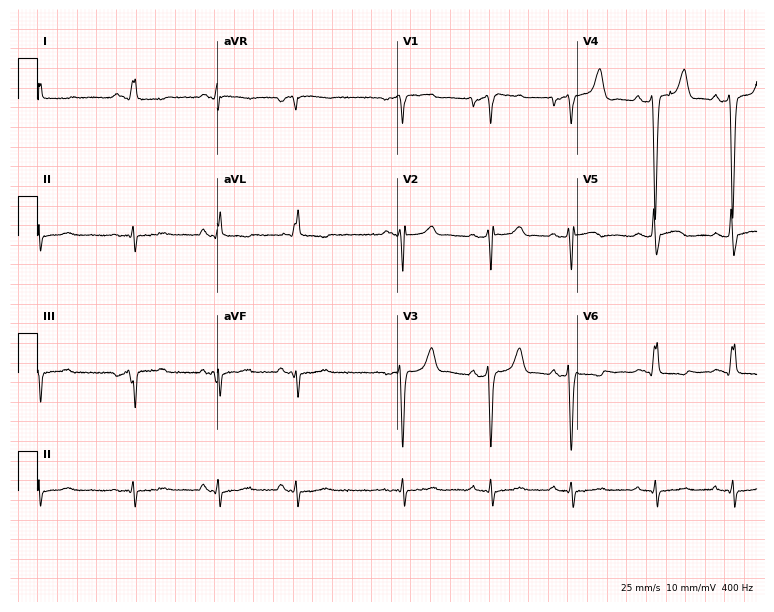
ECG (7.3-second recording at 400 Hz) — a 57-year-old male patient. Screened for six findings — first-degree AV block, right bundle branch block (RBBB), left bundle branch block (LBBB), sinus bradycardia, atrial fibrillation (AF), sinus tachycardia — none is recorded. Other findings, if any, are not listed.